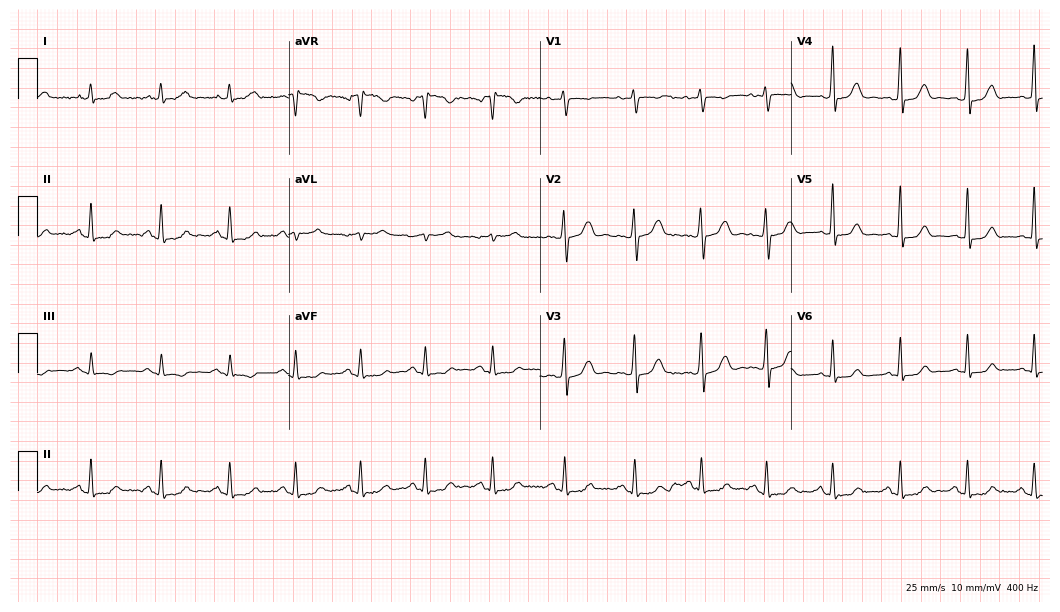
12-lead ECG (10.2-second recording at 400 Hz) from a 48-year-old female patient. Labelled as a normal ECG.